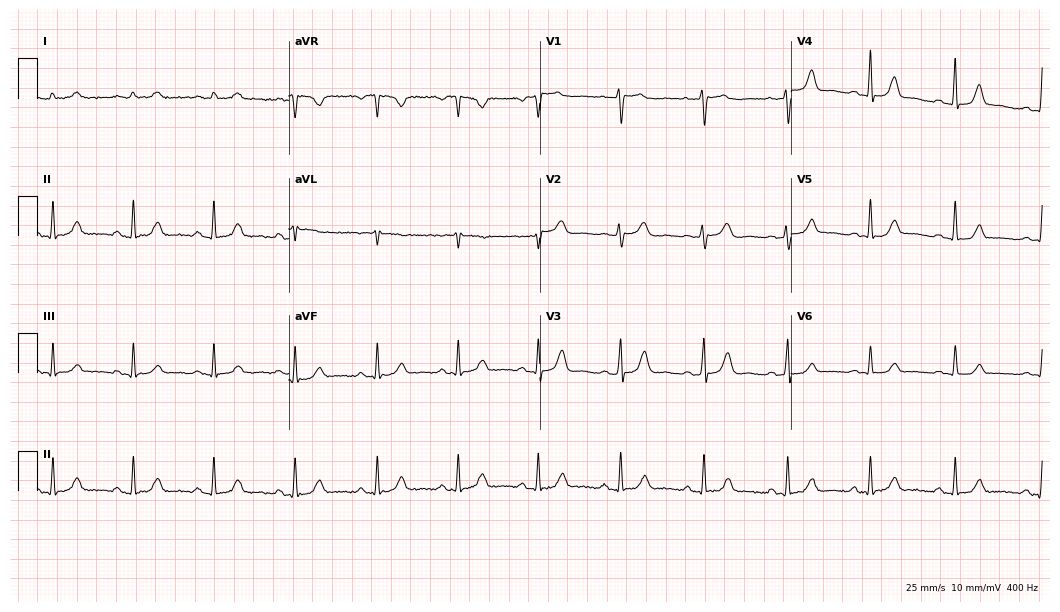
Electrocardiogram, a woman, 56 years old. Of the six screened findings (first-degree AV block, right bundle branch block, left bundle branch block, sinus bradycardia, atrial fibrillation, sinus tachycardia), none is recorded.